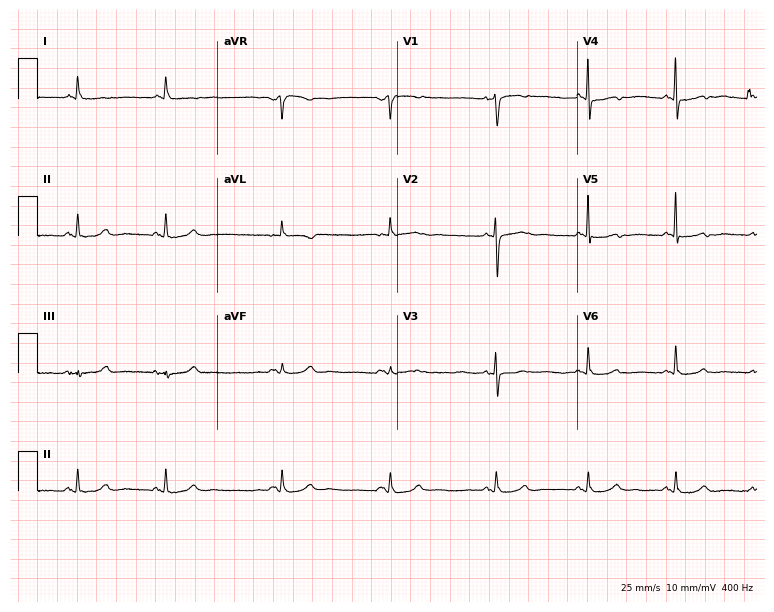
12-lead ECG from a woman, 80 years old. Screened for six findings — first-degree AV block, right bundle branch block, left bundle branch block, sinus bradycardia, atrial fibrillation, sinus tachycardia — none is recorded.